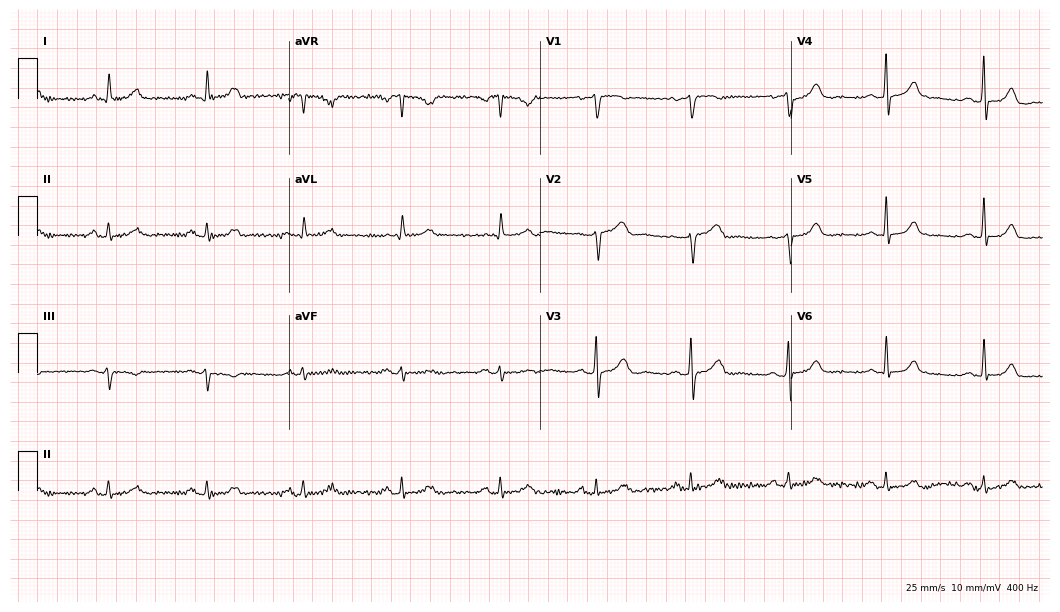
12-lead ECG (10.2-second recording at 400 Hz) from a female, 60 years old. Labelled as a normal ECG.